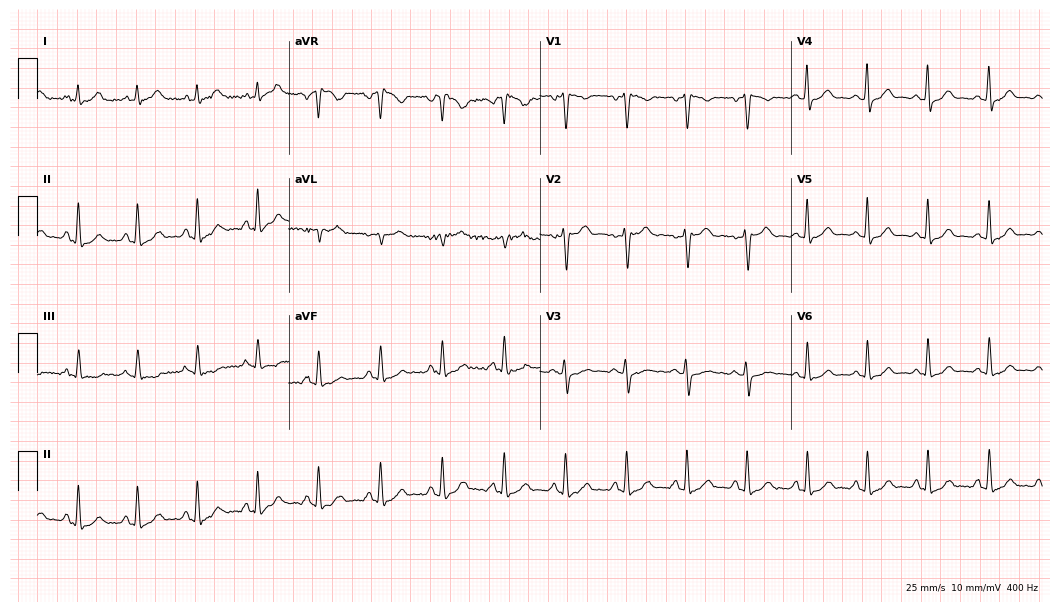
Resting 12-lead electrocardiogram (10.2-second recording at 400 Hz). Patient: a 24-year-old female. Read as a normal ECG.